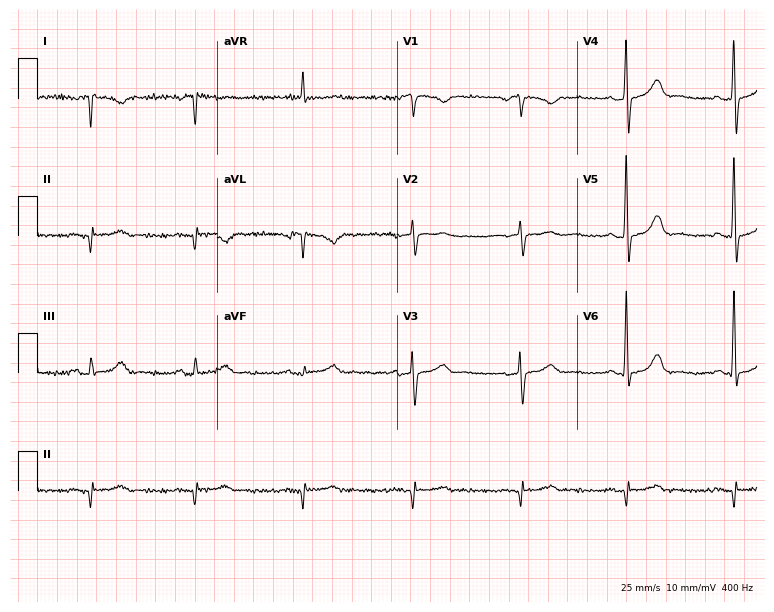
Resting 12-lead electrocardiogram. Patient: a 69-year-old man. None of these six findings is recorded: first-degree AV block, right bundle branch block, left bundle branch block, sinus bradycardia, atrial fibrillation, sinus tachycardia.